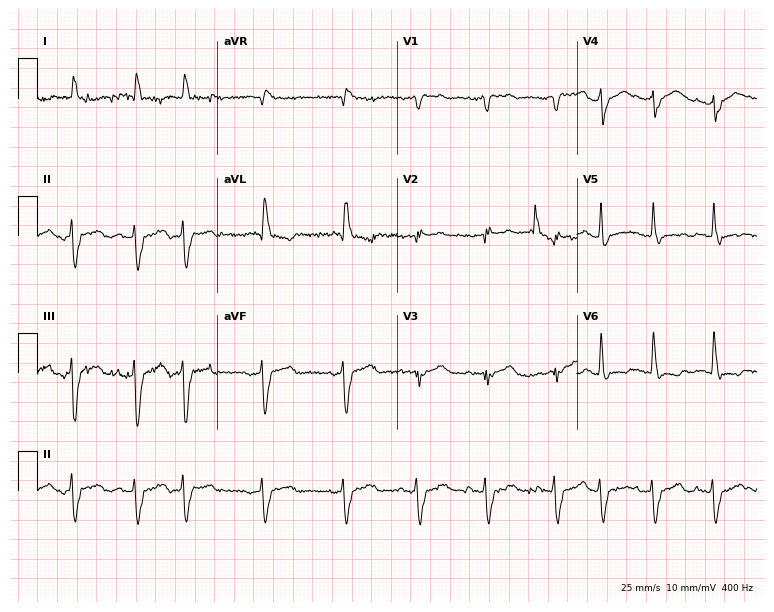
Standard 12-lead ECG recorded from a male patient, 77 years old. None of these six findings is recorded: first-degree AV block, right bundle branch block, left bundle branch block, sinus bradycardia, atrial fibrillation, sinus tachycardia. Findings outside these six are not listed.